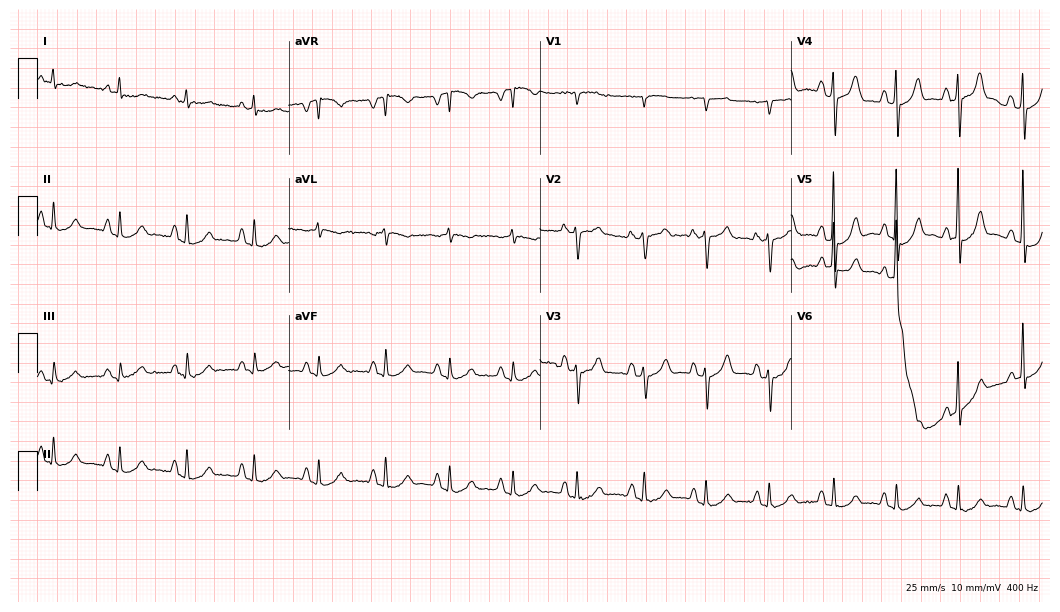
Electrocardiogram, a male, 80 years old. Overall reading on record: normal ECG.